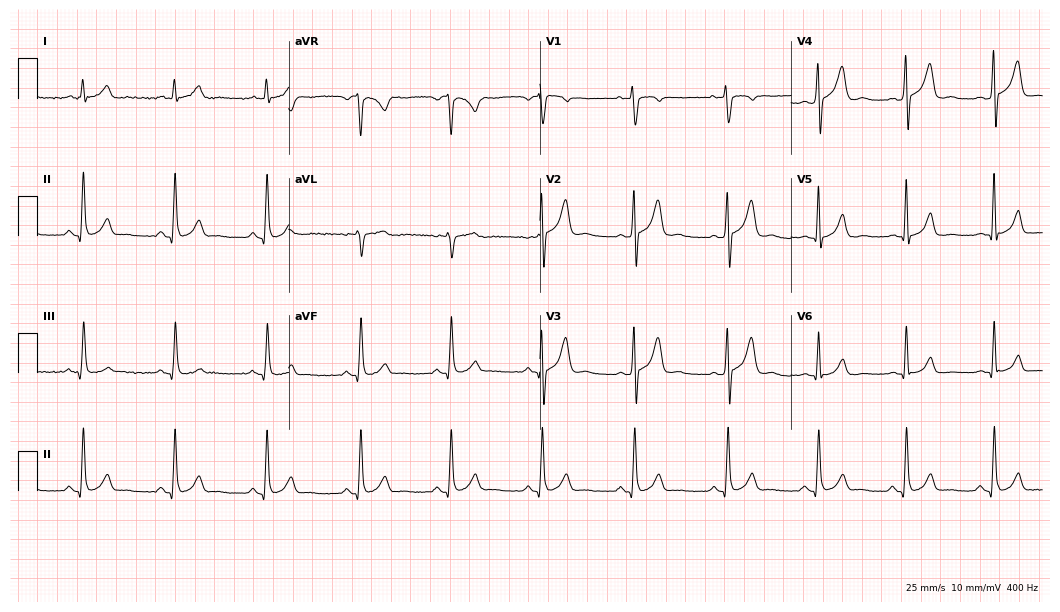
12-lead ECG (10.2-second recording at 400 Hz) from a 28-year-old male. Labelled as a normal ECG.